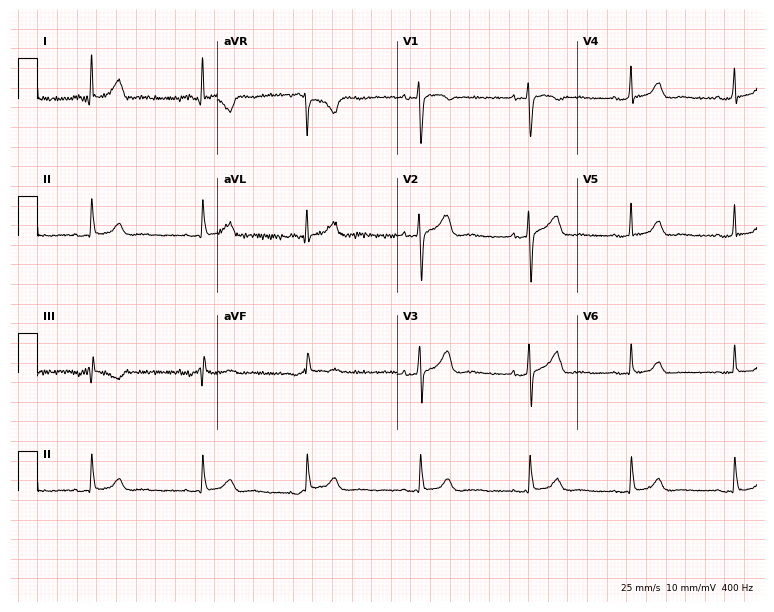
ECG (7.3-second recording at 400 Hz) — a female patient, 42 years old. Labelled as a normal ECG.